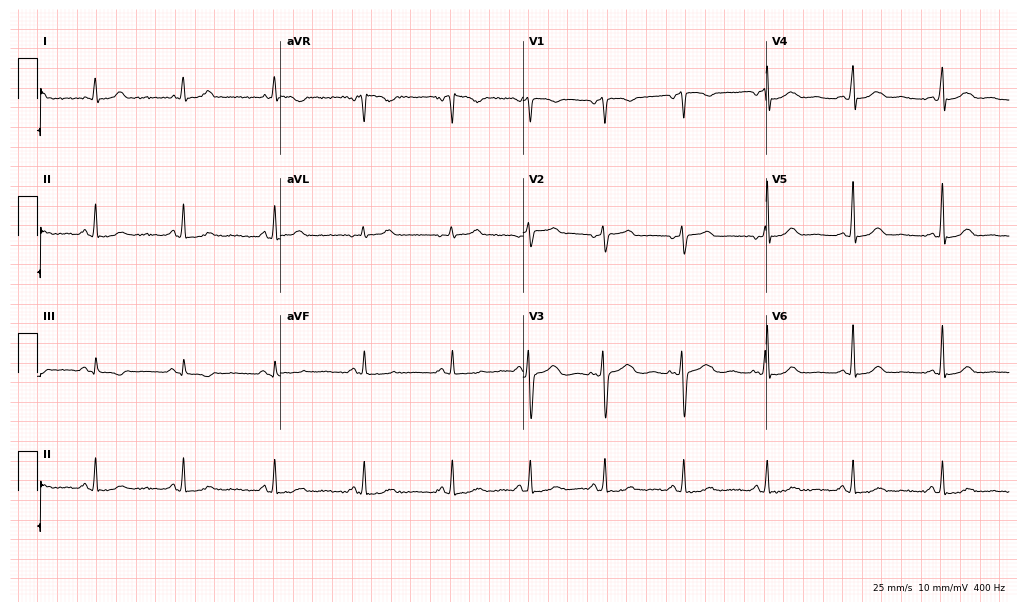
ECG (9.9-second recording at 400 Hz) — a 38-year-old female patient. Labelled as a normal ECG.